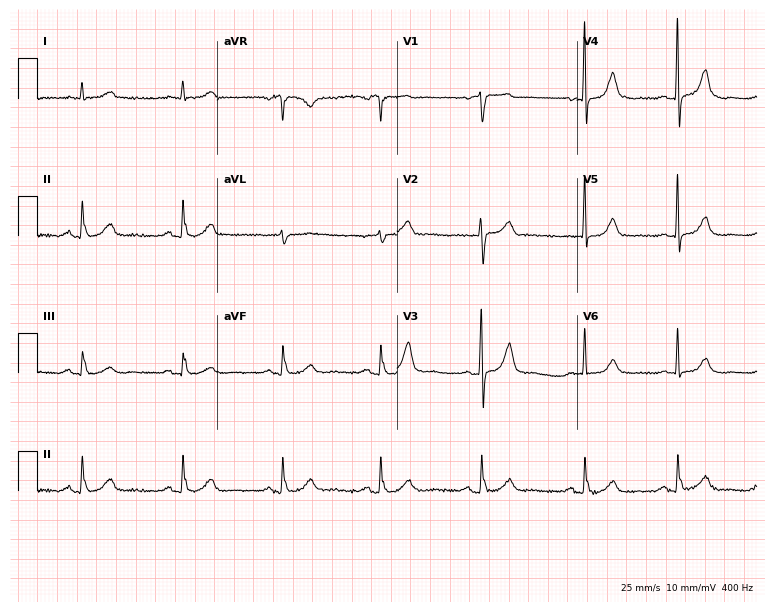
12-lead ECG (7.3-second recording at 400 Hz) from a man, 66 years old. Labelled as a normal ECG.